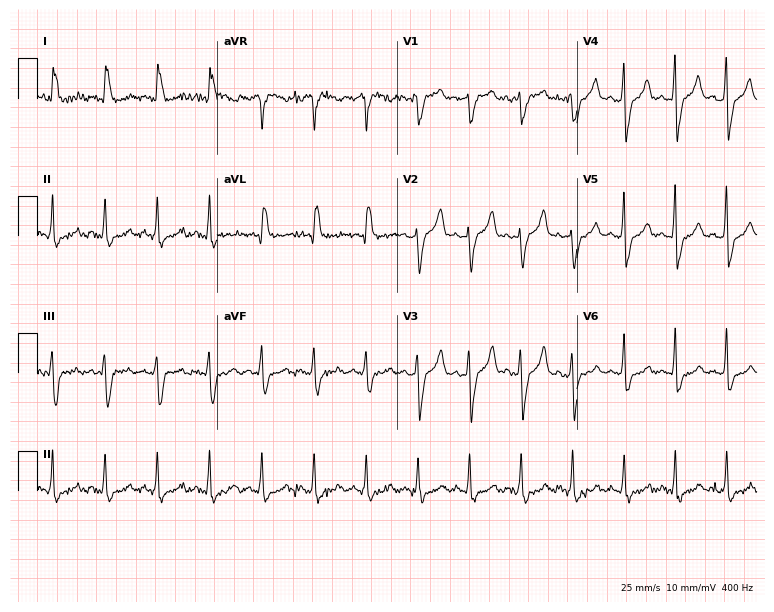
12-lead ECG from a 60-year-old woman. No first-degree AV block, right bundle branch block (RBBB), left bundle branch block (LBBB), sinus bradycardia, atrial fibrillation (AF) or sinus tachycardia recorded for this tracing. Other findings, if any, are not listed.